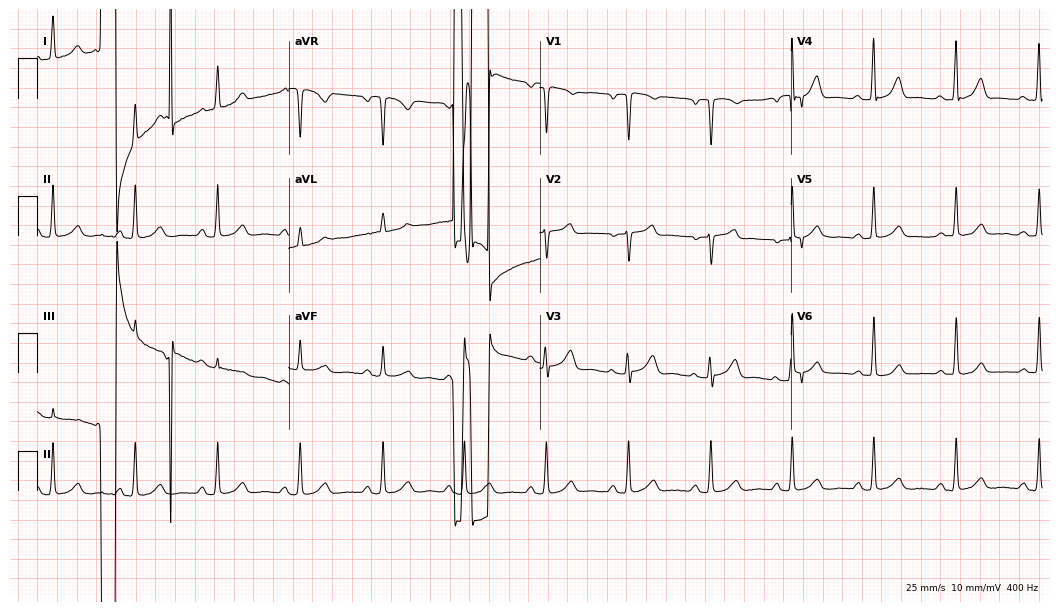
Standard 12-lead ECG recorded from a 64-year-old woman (10.2-second recording at 400 Hz). Read as a normal ECG.